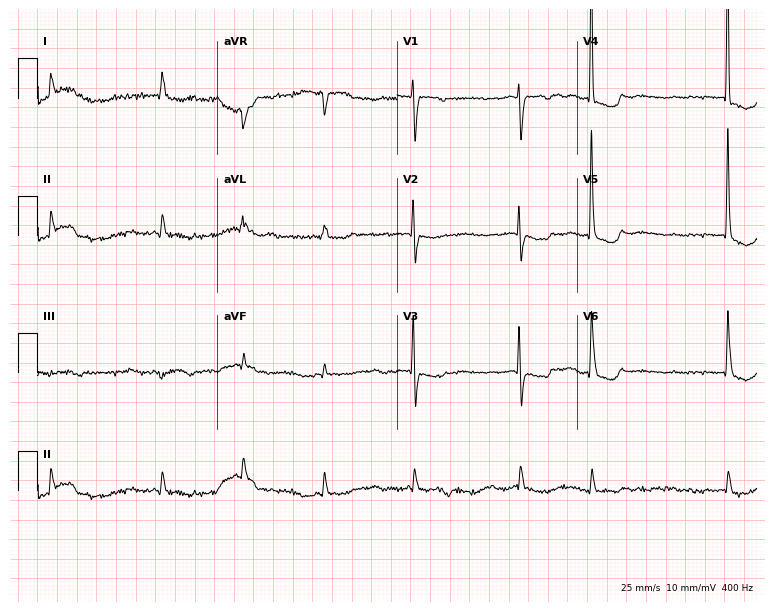
Standard 12-lead ECG recorded from an 81-year-old female patient (7.3-second recording at 400 Hz). The tracing shows atrial fibrillation.